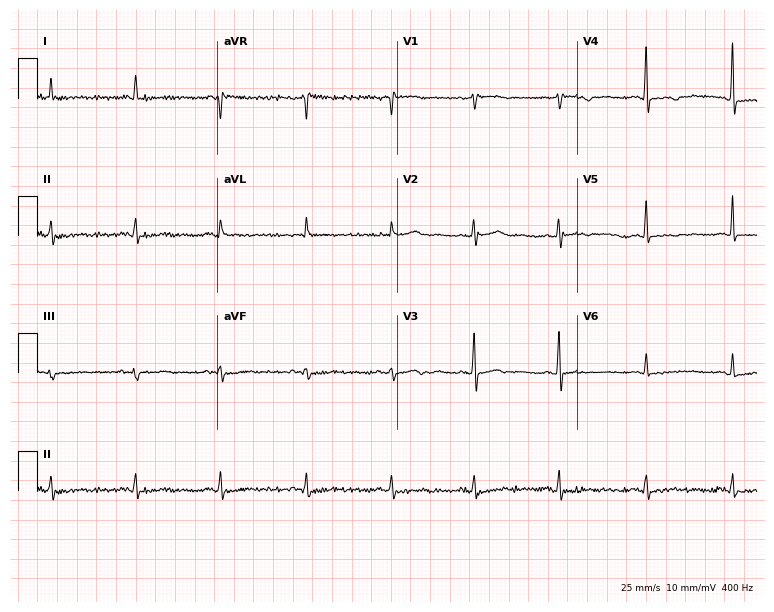
Standard 12-lead ECG recorded from a 78-year-old man. None of these six findings is recorded: first-degree AV block, right bundle branch block (RBBB), left bundle branch block (LBBB), sinus bradycardia, atrial fibrillation (AF), sinus tachycardia.